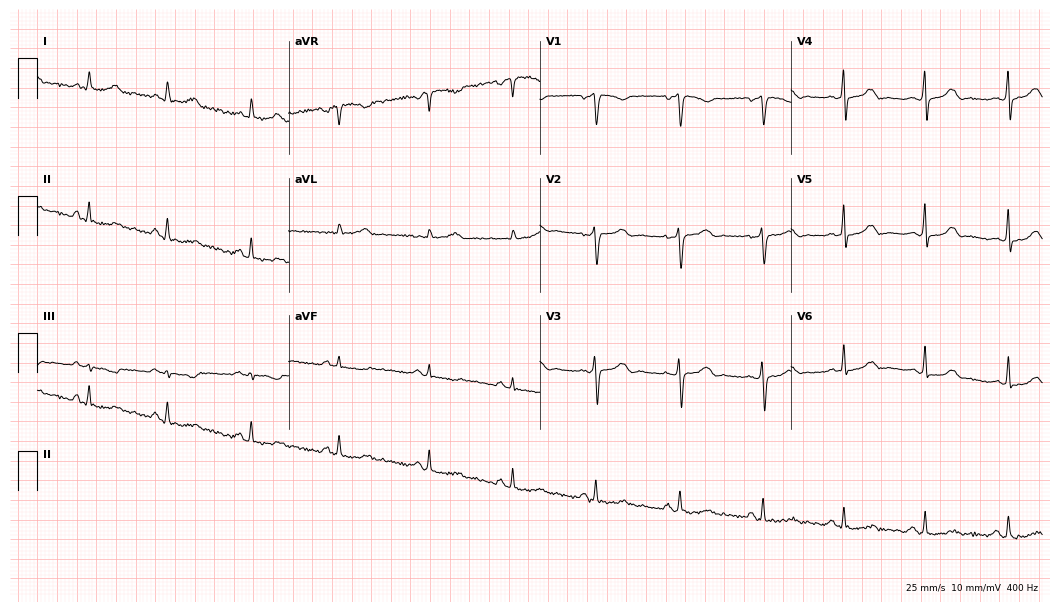
ECG — a 42-year-old female. Labelled as a normal ECG.